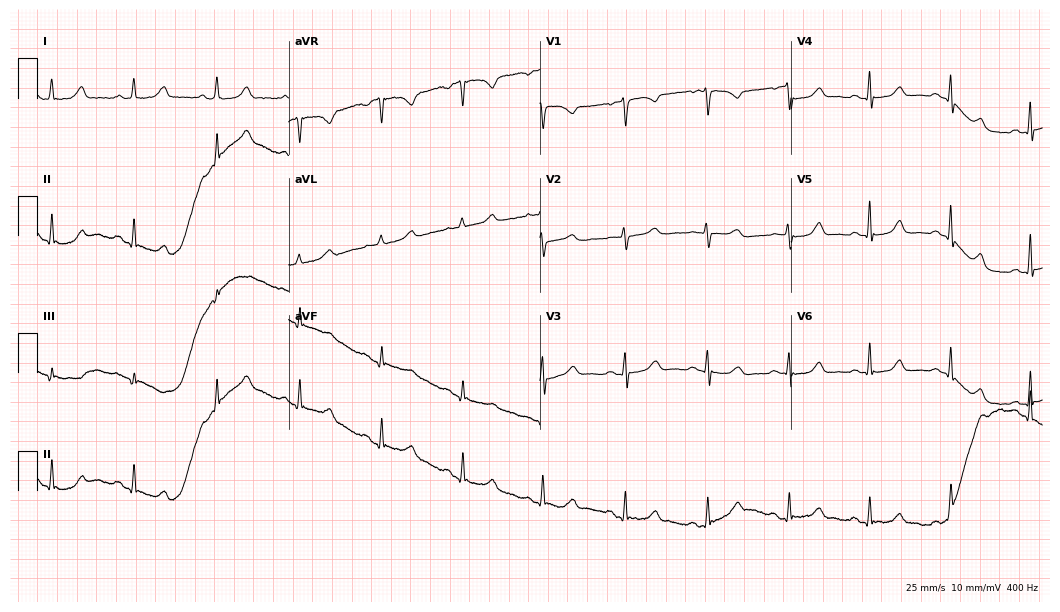
ECG (10.2-second recording at 400 Hz) — a 63-year-old female patient. Labelled as a normal ECG.